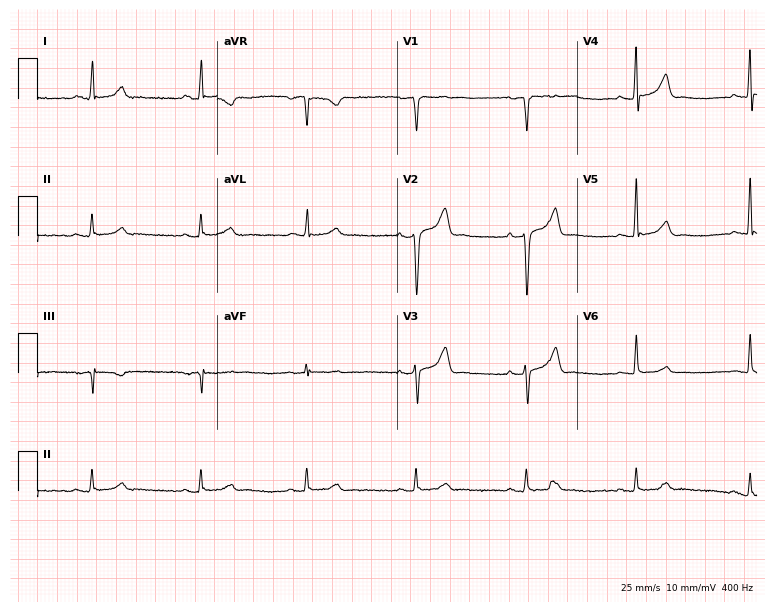
Standard 12-lead ECG recorded from a man, 68 years old (7.3-second recording at 400 Hz). None of these six findings is recorded: first-degree AV block, right bundle branch block, left bundle branch block, sinus bradycardia, atrial fibrillation, sinus tachycardia. Other findings, if any, are not listed.